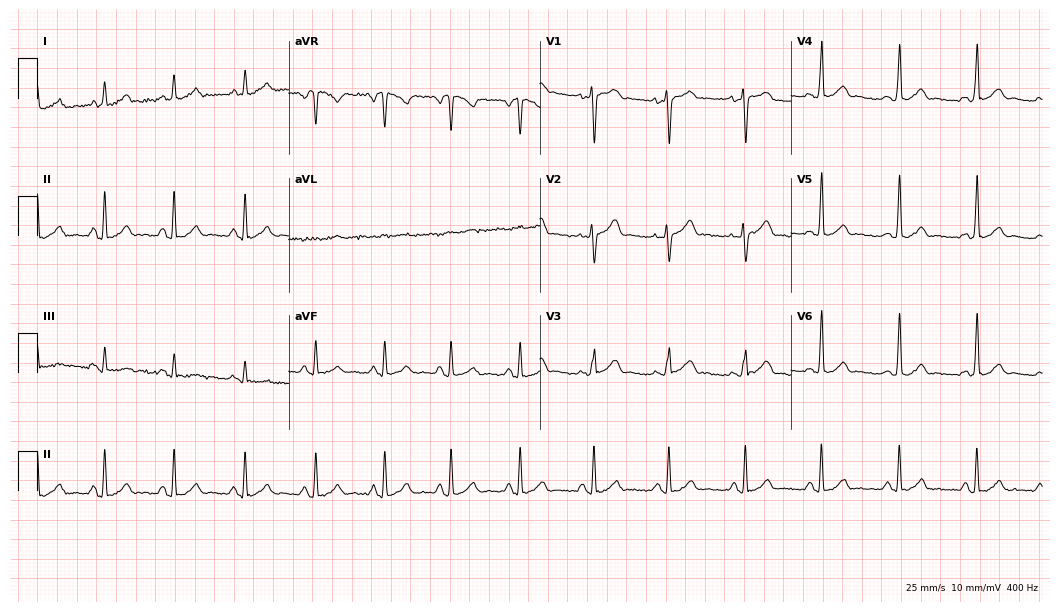
Electrocardiogram, a male patient, 21 years old. Overall reading on record: normal ECG.